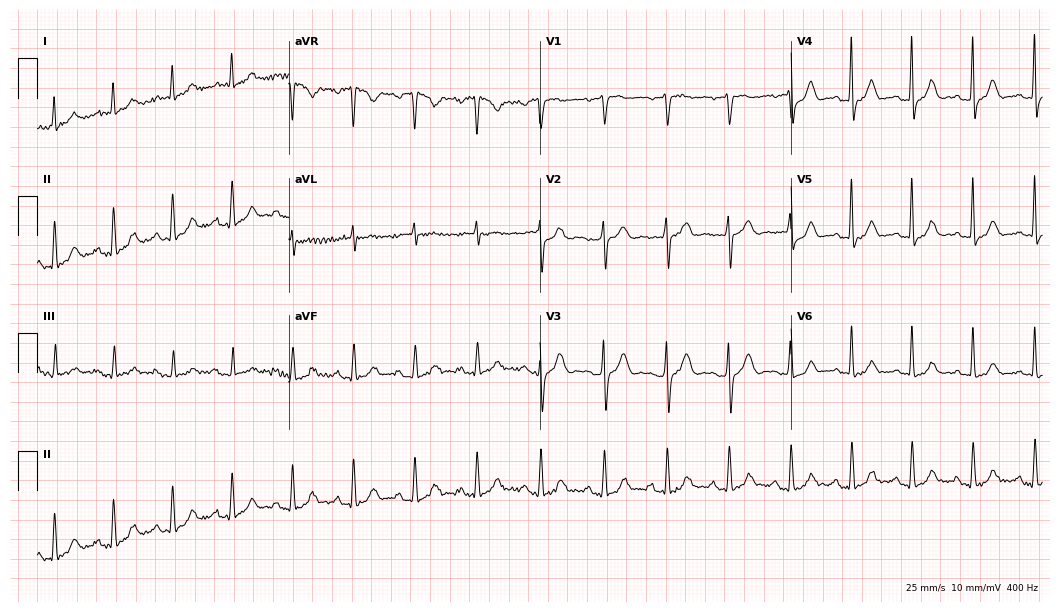
ECG (10.2-second recording at 400 Hz) — a 66-year-old female. Labelled as a normal ECG.